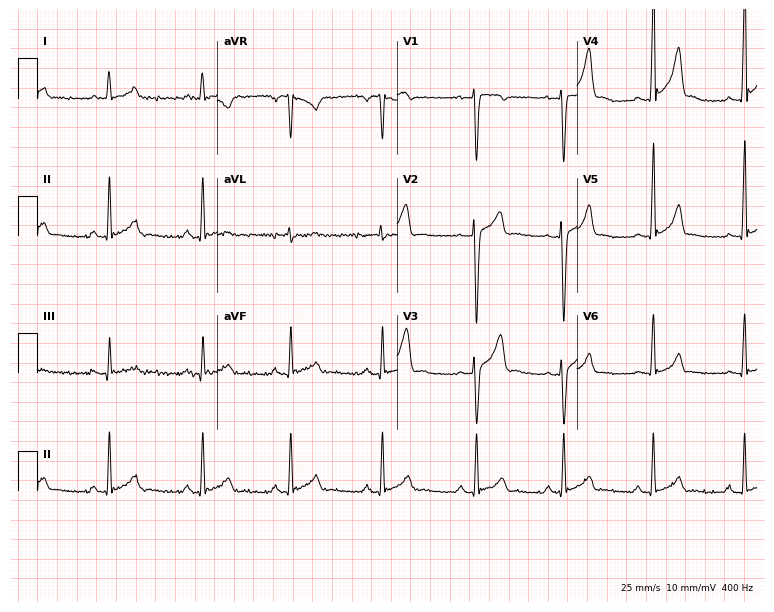
12-lead ECG from a 30-year-old male. No first-degree AV block, right bundle branch block, left bundle branch block, sinus bradycardia, atrial fibrillation or sinus tachycardia recorded for this tracing. Other findings, if any, are not listed.